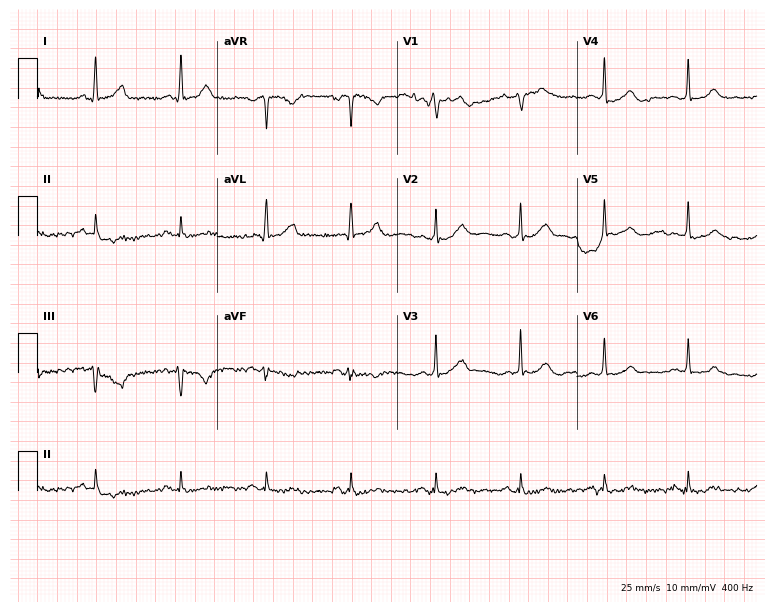
12-lead ECG from a female, 51 years old (7.3-second recording at 400 Hz). Recorded interpretation: within normal limits.